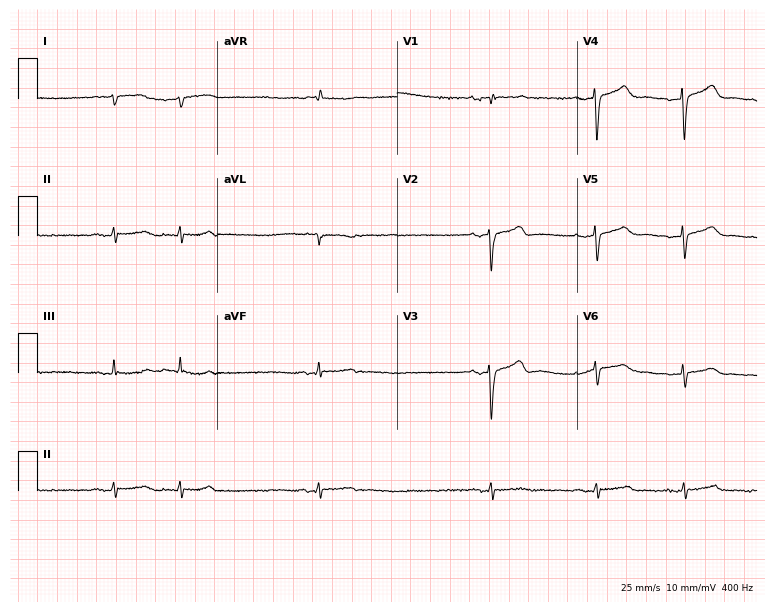
12-lead ECG from a 27-year-old male patient (7.3-second recording at 400 Hz). No first-degree AV block, right bundle branch block (RBBB), left bundle branch block (LBBB), sinus bradycardia, atrial fibrillation (AF) or sinus tachycardia recorded for this tracing. Findings outside these six are not listed.